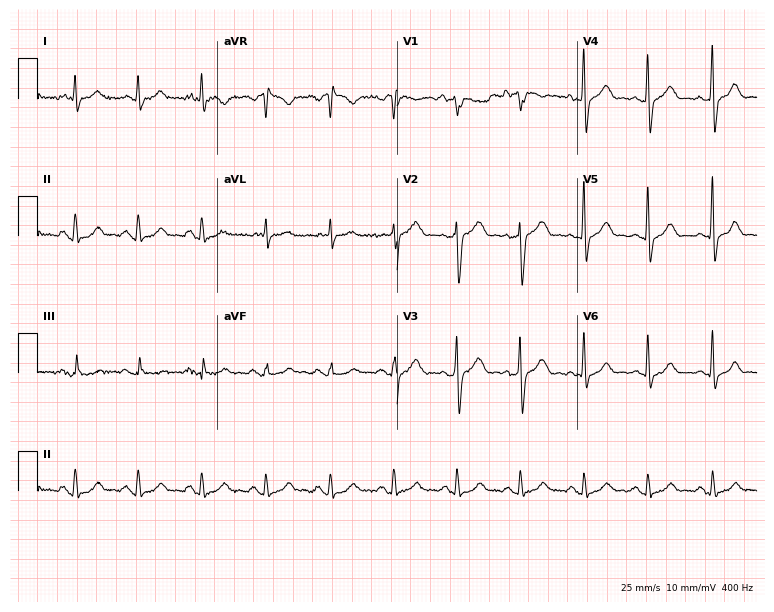
Electrocardiogram (7.3-second recording at 400 Hz), a 69-year-old man. Overall reading on record: normal ECG.